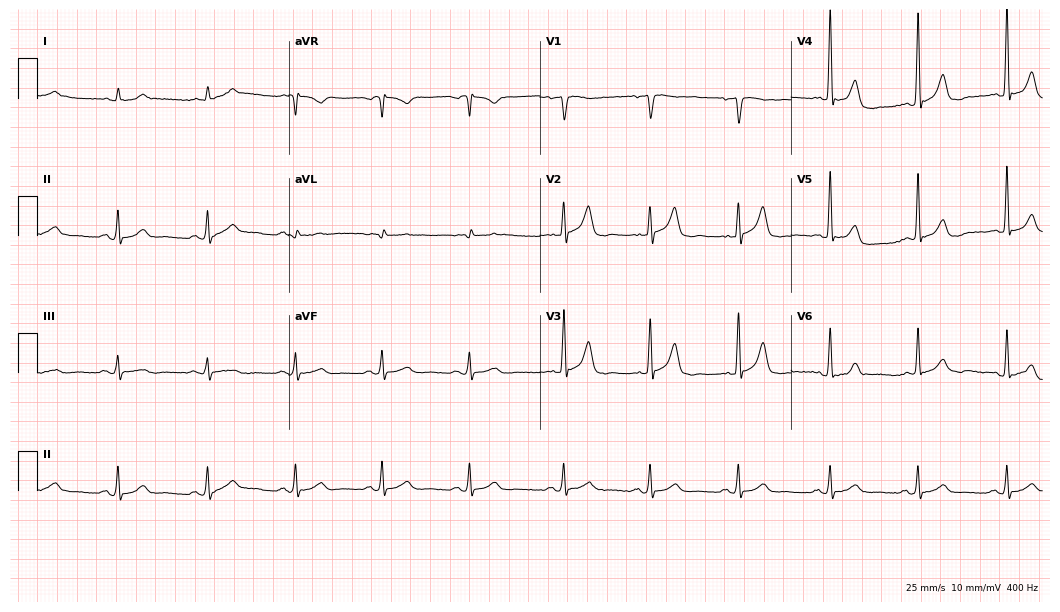
Electrocardiogram, a 77-year-old male patient. Overall reading on record: normal ECG.